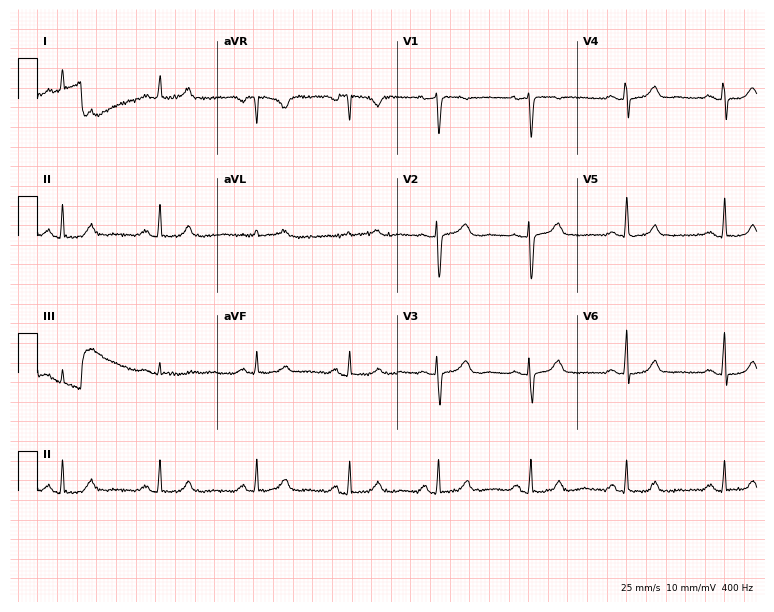
Resting 12-lead electrocardiogram (7.3-second recording at 400 Hz). Patient: a 58-year-old female. Read as a normal ECG.